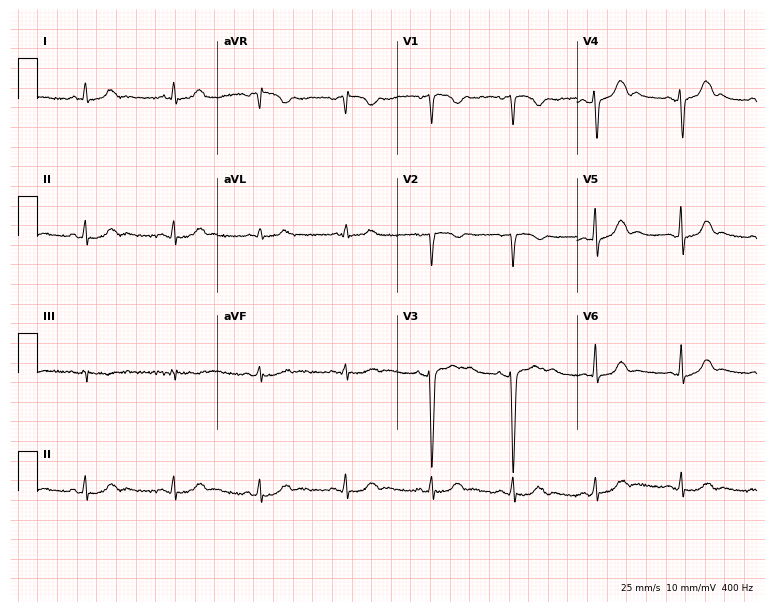
Resting 12-lead electrocardiogram. Patient: a female, 32 years old. Read as a normal ECG.